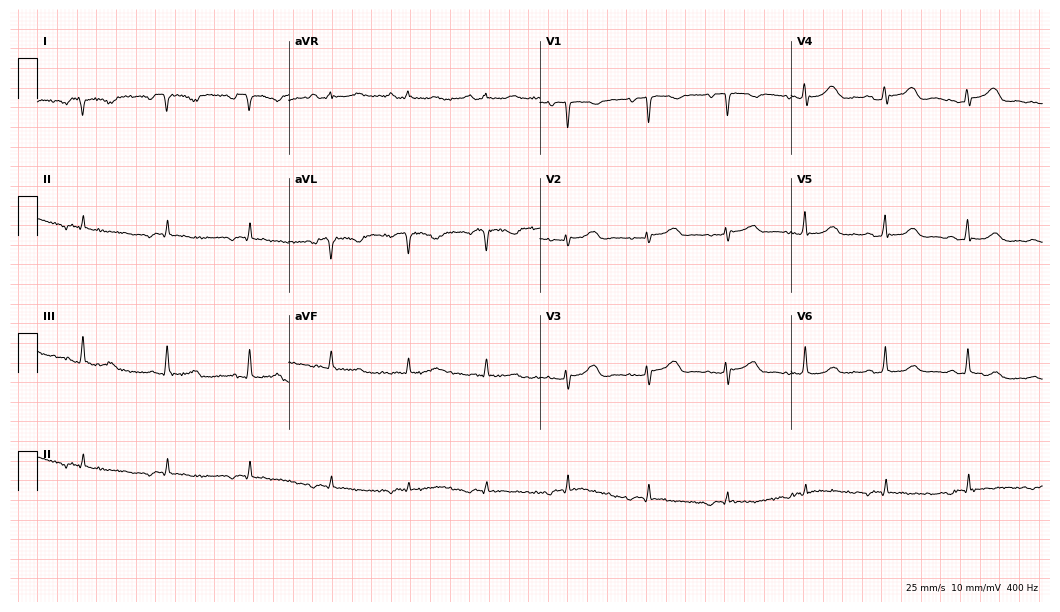
Standard 12-lead ECG recorded from a female, 75 years old. None of these six findings is recorded: first-degree AV block, right bundle branch block, left bundle branch block, sinus bradycardia, atrial fibrillation, sinus tachycardia.